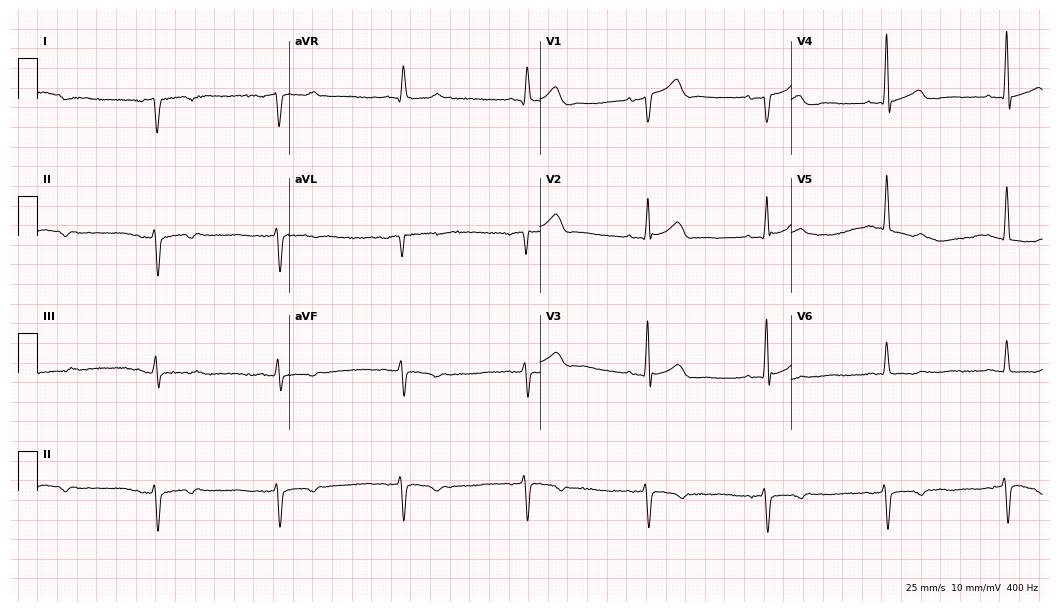
Resting 12-lead electrocardiogram (10.2-second recording at 400 Hz). Patient: a male, 51 years old. None of these six findings is recorded: first-degree AV block, right bundle branch block, left bundle branch block, sinus bradycardia, atrial fibrillation, sinus tachycardia. Only these six findings were labelled.